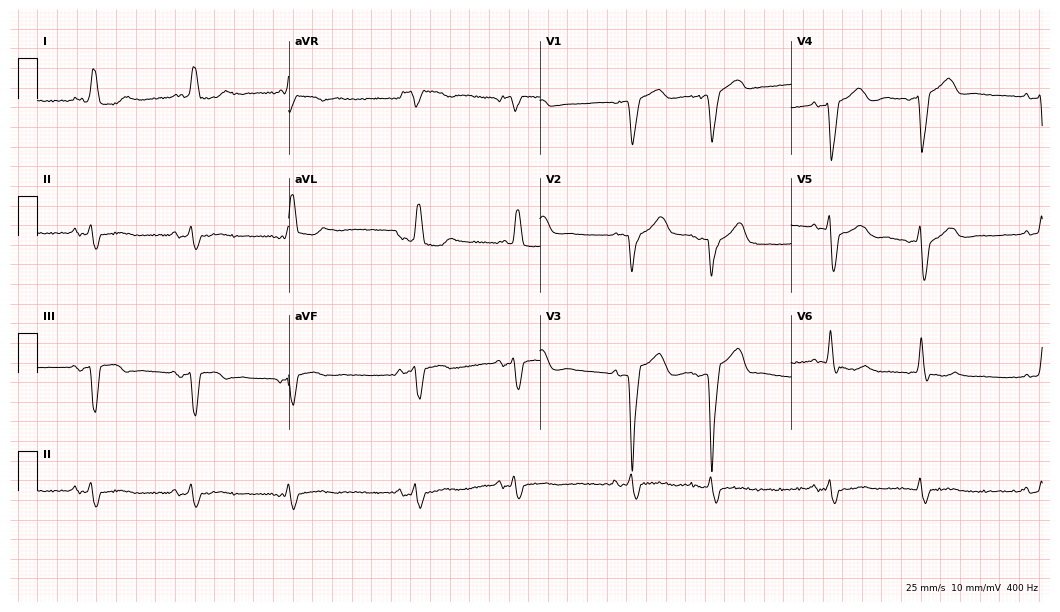
12-lead ECG from a man, 77 years old. Findings include left bundle branch block (LBBB).